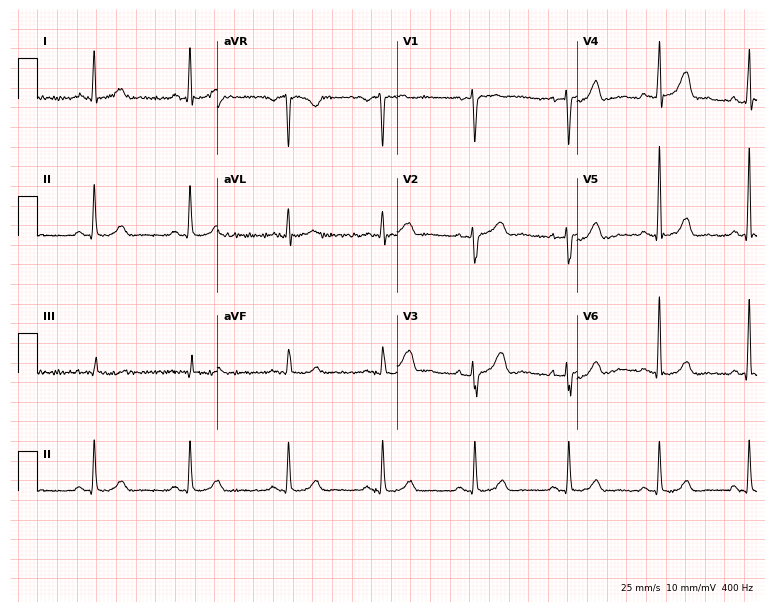
12-lead ECG from a woman, 56 years old. Recorded interpretation: within normal limits.